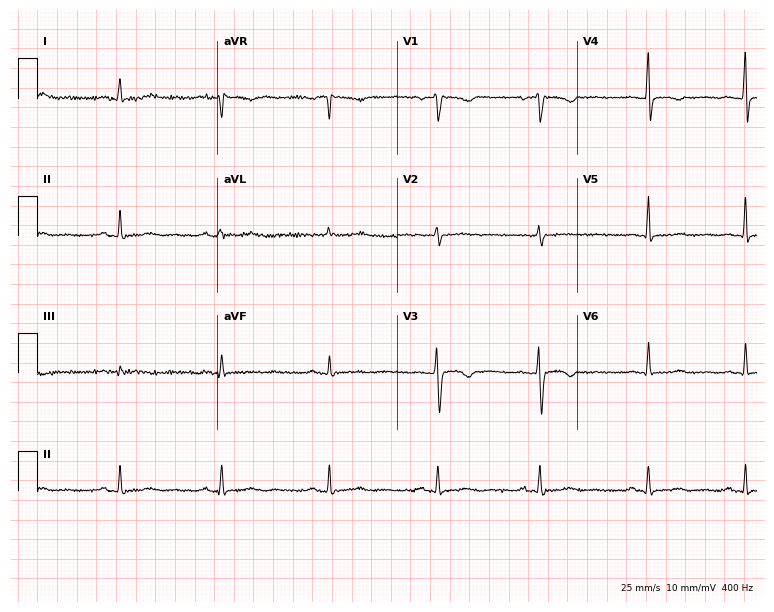
ECG (7.3-second recording at 400 Hz) — a 39-year-old female patient. Screened for six findings — first-degree AV block, right bundle branch block (RBBB), left bundle branch block (LBBB), sinus bradycardia, atrial fibrillation (AF), sinus tachycardia — none is recorded.